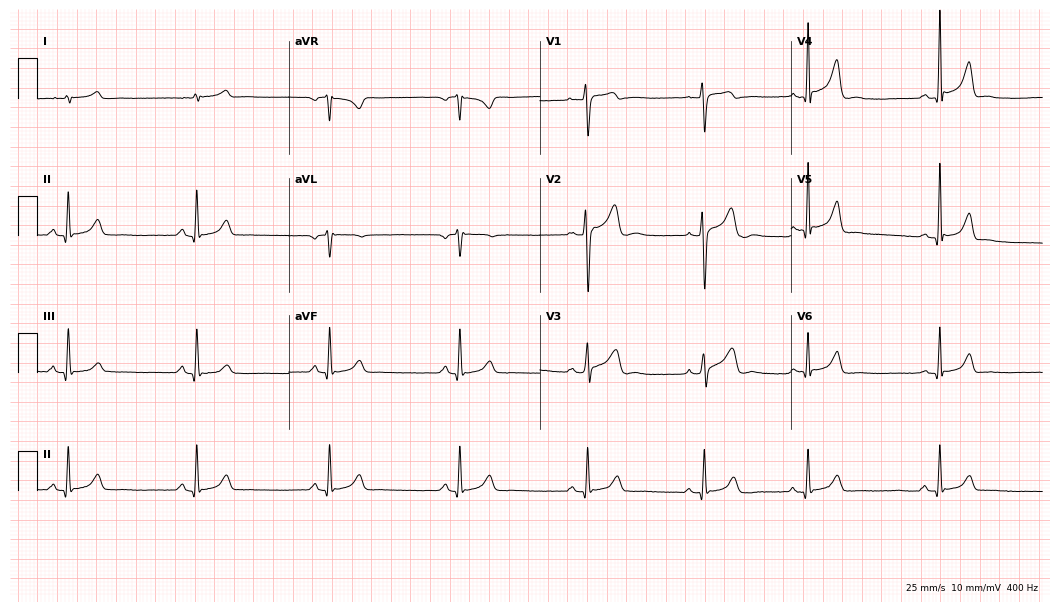
Resting 12-lead electrocardiogram (10.2-second recording at 400 Hz). Patient: a 29-year-old male. The tracing shows sinus bradycardia (a sinus rate of 50 beats per minute or less).